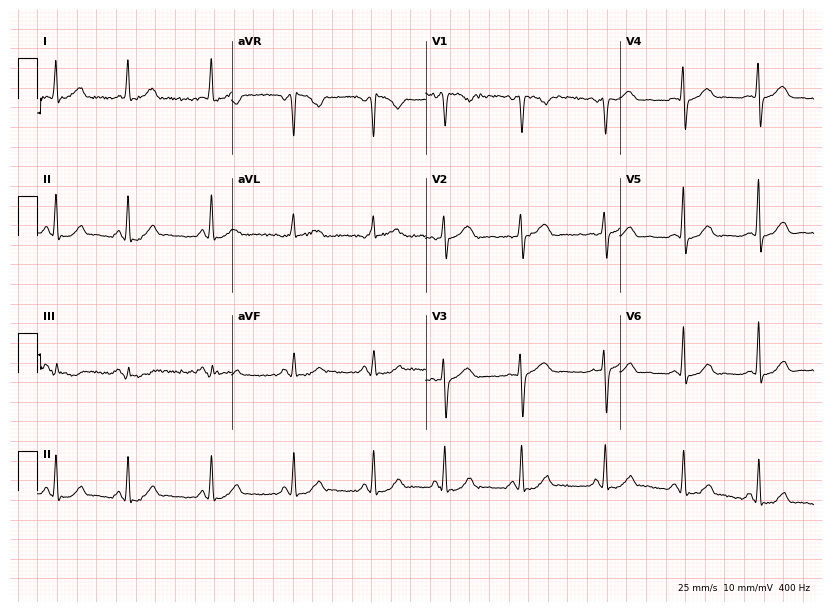
Resting 12-lead electrocardiogram (7.9-second recording at 400 Hz). Patient: a female, 44 years old. Read as a normal ECG.